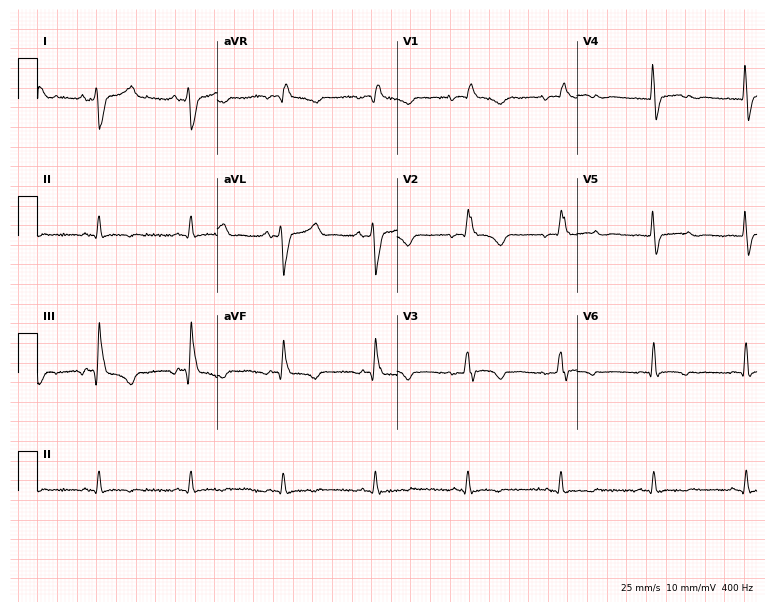
12-lead ECG (7.3-second recording at 400 Hz) from a female patient, 54 years old. Findings include right bundle branch block.